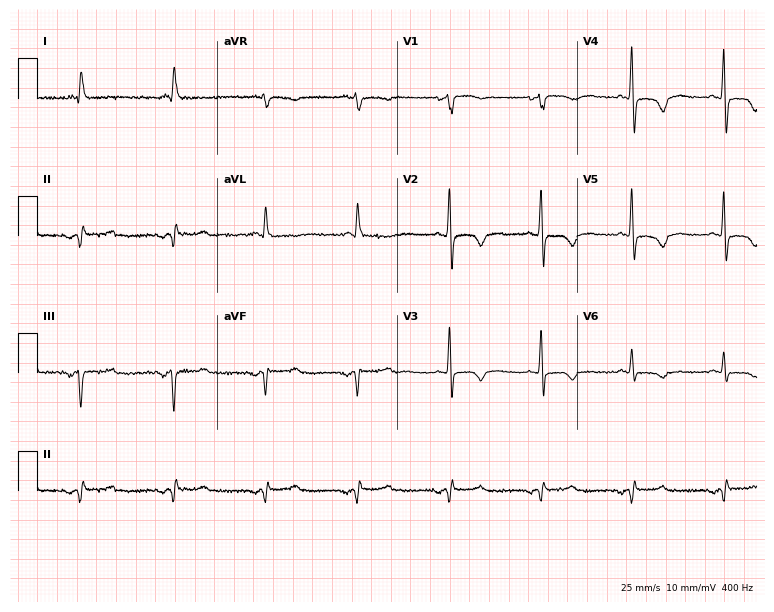
Electrocardiogram, a 63-year-old female patient. Of the six screened findings (first-degree AV block, right bundle branch block (RBBB), left bundle branch block (LBBB), sinus bradycardia, atrial fibrillation (AF), sinus tachycardia), none is recorded.